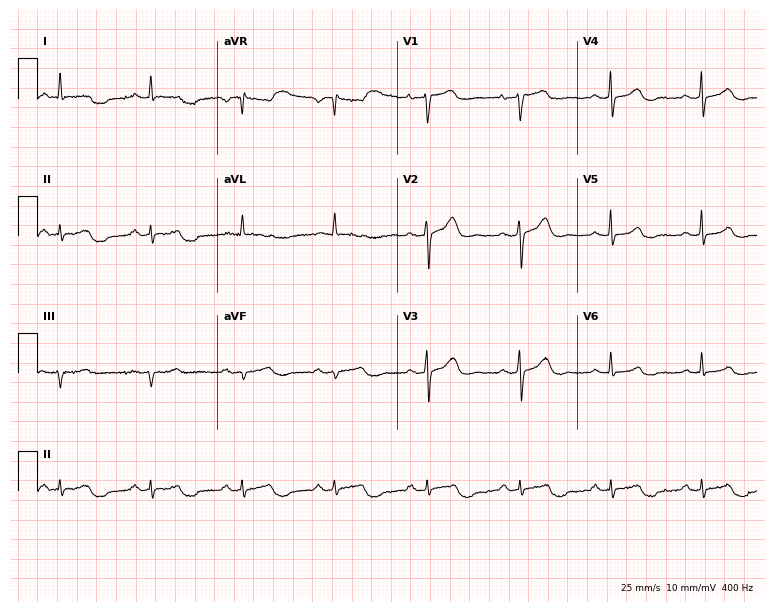
Electrocardiogram, a 50-year-old woman. Of the six screened findings (first-degree AV block, right bundle branch block (RBBB), left bundle branch block (LBBB), sinus bradycardia, atrial fibrillation (AF), sinus tachycardia), none is recorded. Other findings, if any, are not listed.